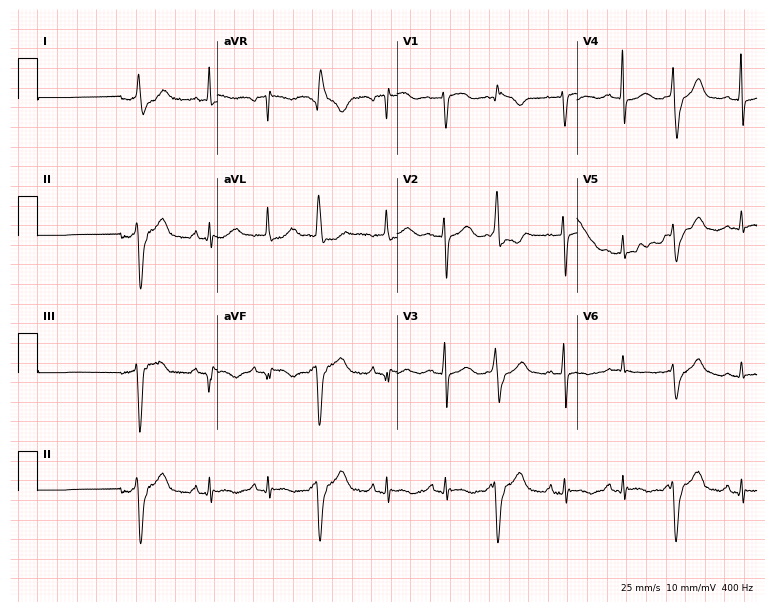
12-lead ECG from an 83-year-old woman (7.3-second recording at 400 Hz). Recorded interpretation: within normal limits.